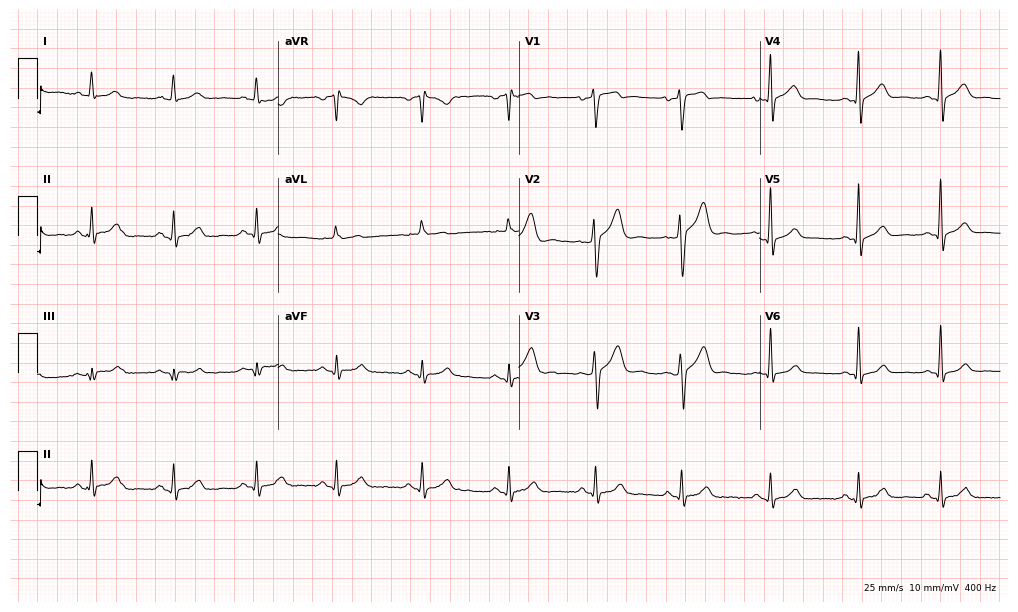
Resting 12-lead electrocardiogram. Patient: a 41-year-old man. Read as a normal ECG.